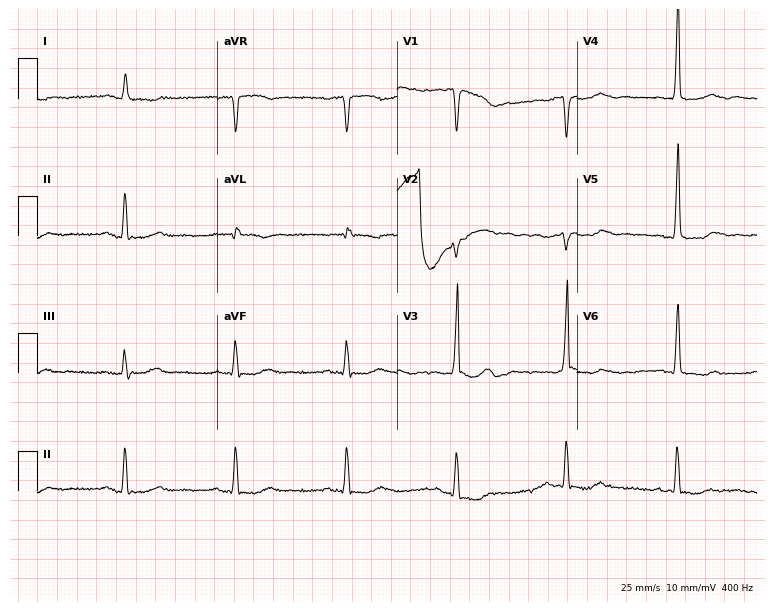
12-lead ECG from a female, 73 years old. Screened for six findings — first-degree AV block, right bundle branch block, left bundle branch block, sinus bradycardia, atrial fibrillation, sinus tachycardia — none is recorded.